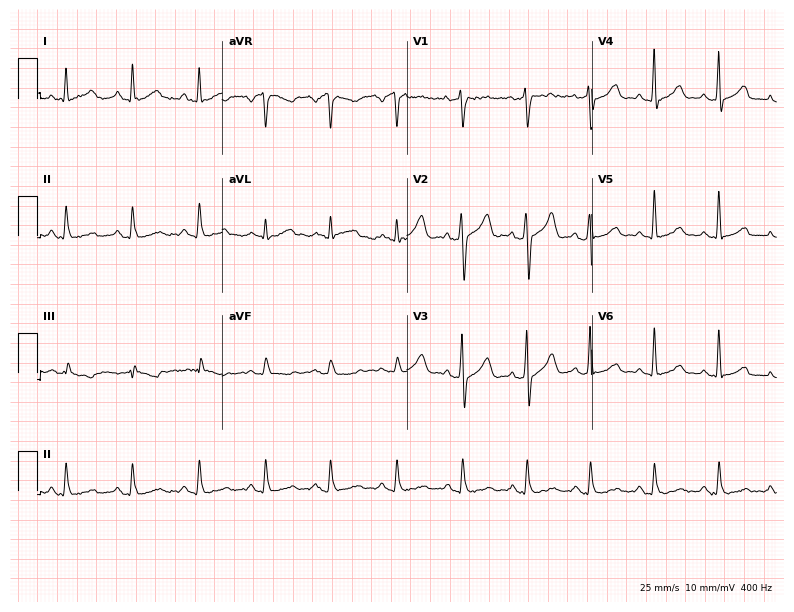
Resting 12-lead electrocardiogram (7.5-second recording at 400 Hz). Patient: a 59-year-old man. Read as a normal ECG.